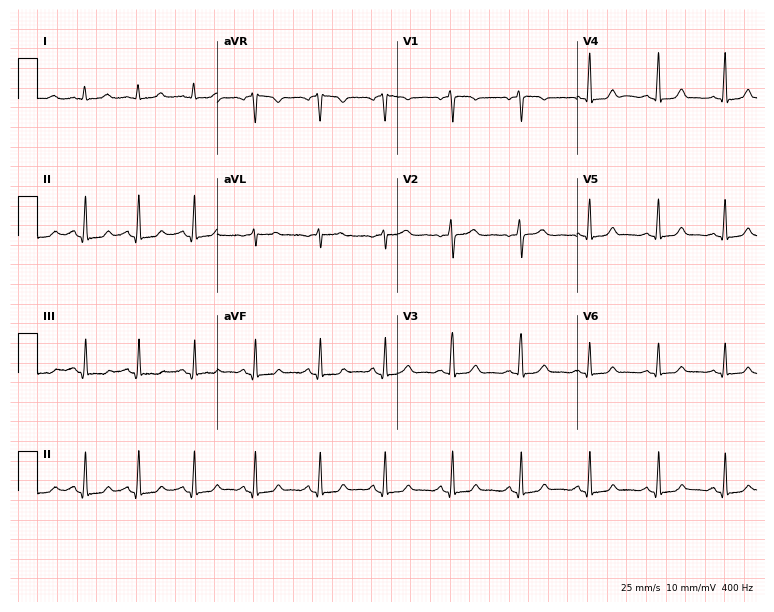
Resting 12-lead electrocardiogram. Patient: a 32-year-old woman. Read as a normal ECG.